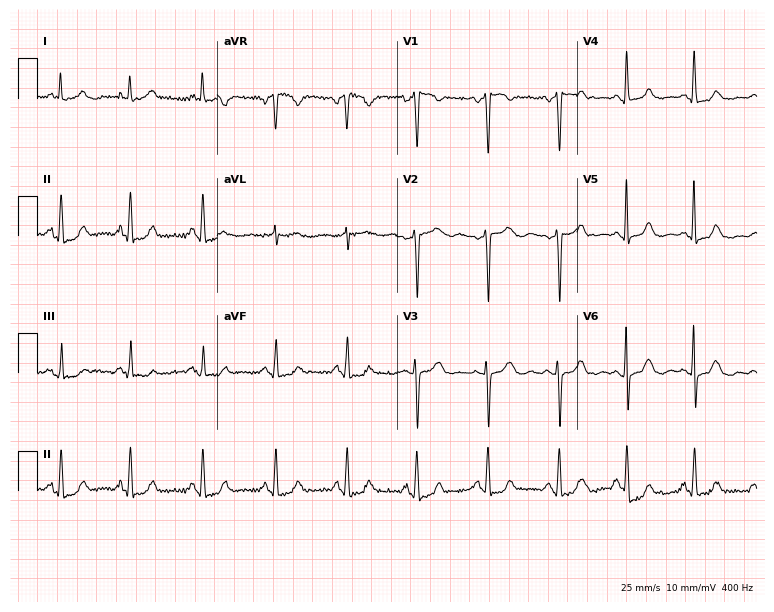
Electrocardiogram (7.3-second recording at 400 Hz), a 44-year-old woman. Overall reading on record: normal ECG.